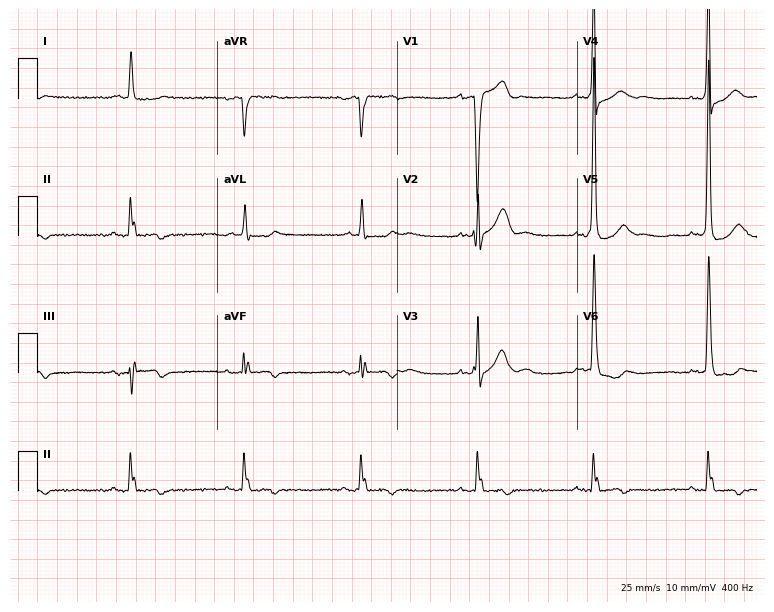
Standard 12-lead ECG recorded from a man, 73 years old (7.3-second recording at 400 Hz). None of these six findings is recorded: first-degree AV block, right bundle branch block, left bundle branch block, sinus bradycardia, atrial fibrillation, sinus tachycardia. Only these six findings were labelled.